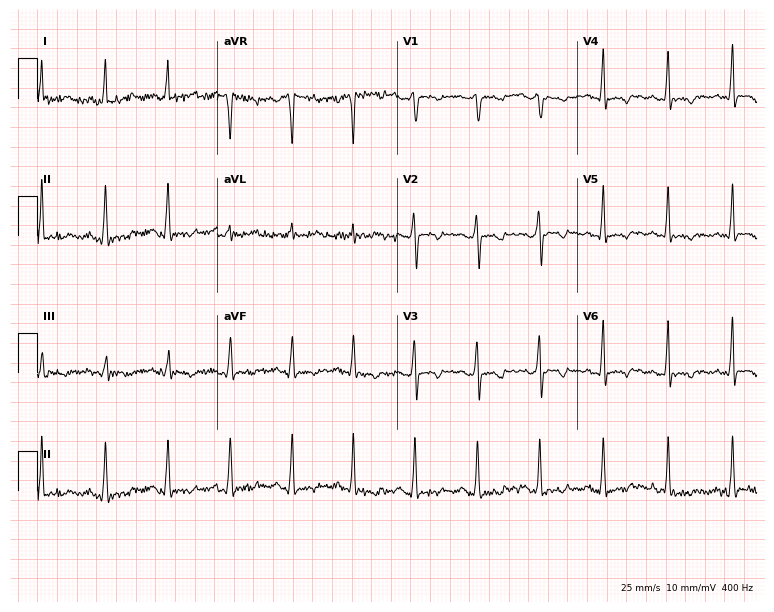
12-lead ECG from a female patient, 32 years old (7.3-second recording at 400 Hz). No first-degree AV block, right bundle branch block, left bundle branch block, sinus bradycardia, atrial fibrillation or sinus tachycardia recorded for this tracing. Only these six findings were labelled.